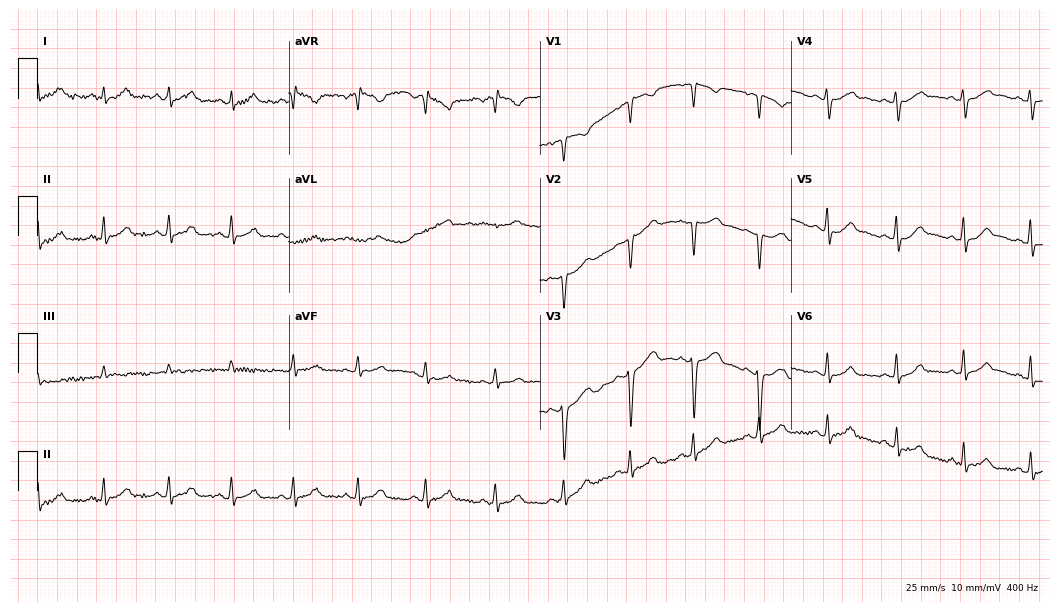
Standard 12-lead ECG recorded from a female patient, 23 years old (10.2-second recording at 400 Hz). Read as a normal ECG.